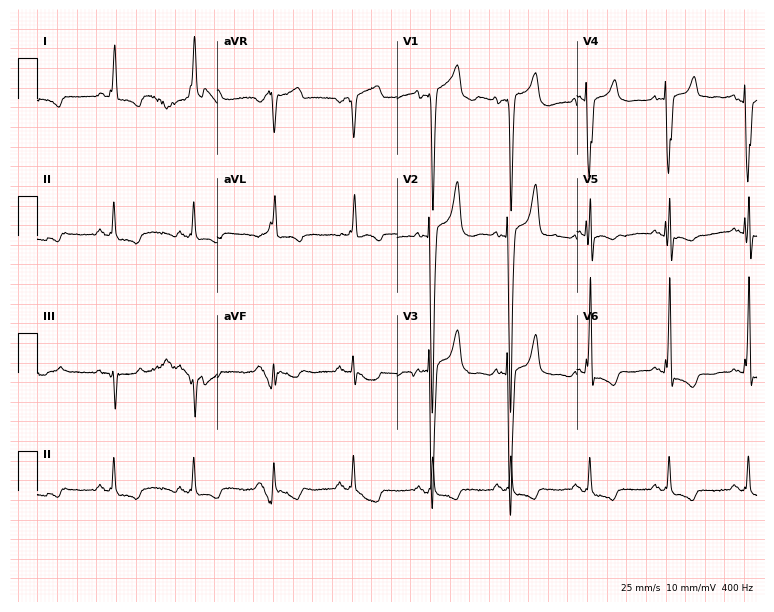
12-lead ECG from a 64-year-old male patient. Screened for six findings — first-degree AV block, right bundle branch block, left bundle branch block, sinus bradycardia, atrial fibrillation, sinus tachycardia — none is recorded.